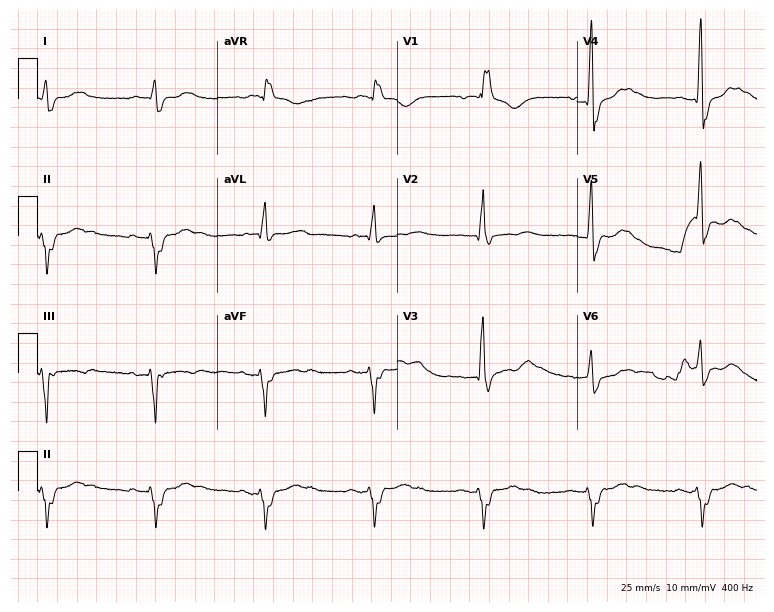
Electrocardiogram, a 62-year-old man. Interpretation includes right bundle branch block (RBBB).